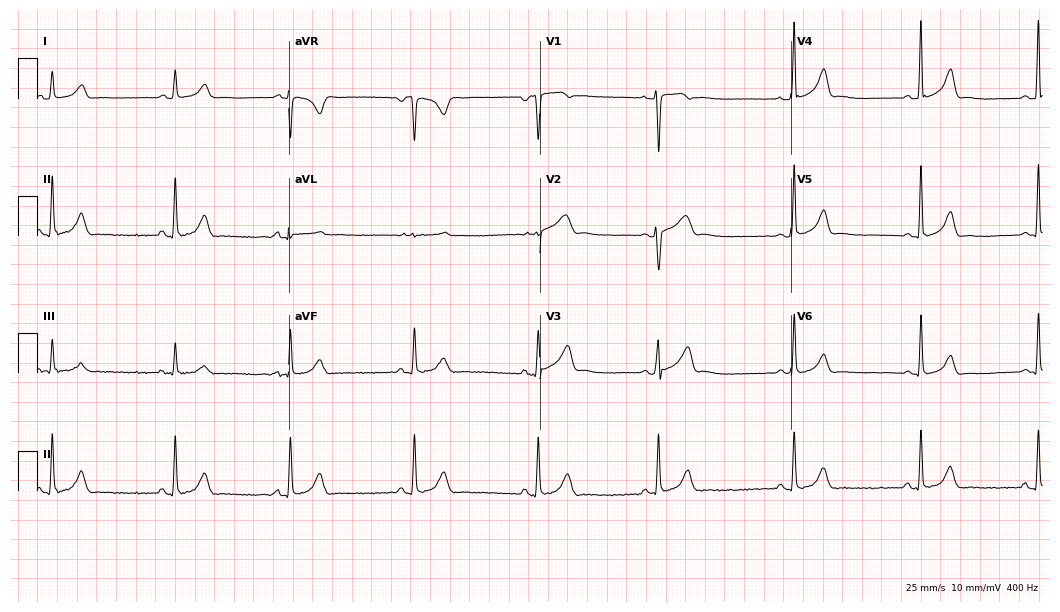
Standard 12-lead ECG recorded from a woman, 24 years old. Read as a normal ECG.